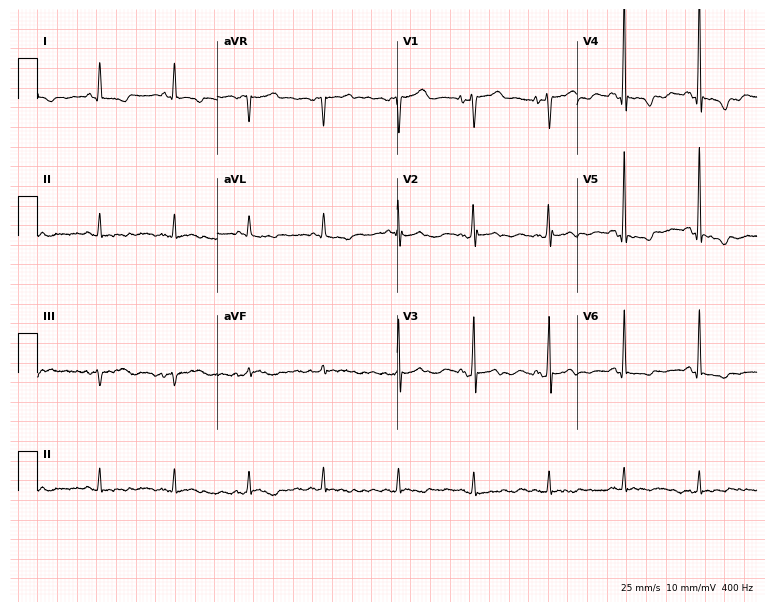
ECG — a female, 70 years old. Screened for six findings — first-degree AV block, right bundle branch block (RBBB), left bundle branch block (LBBB), sinus bradycardia, atrial fibrillation (AF), sinus tachycardia — none is recorded.